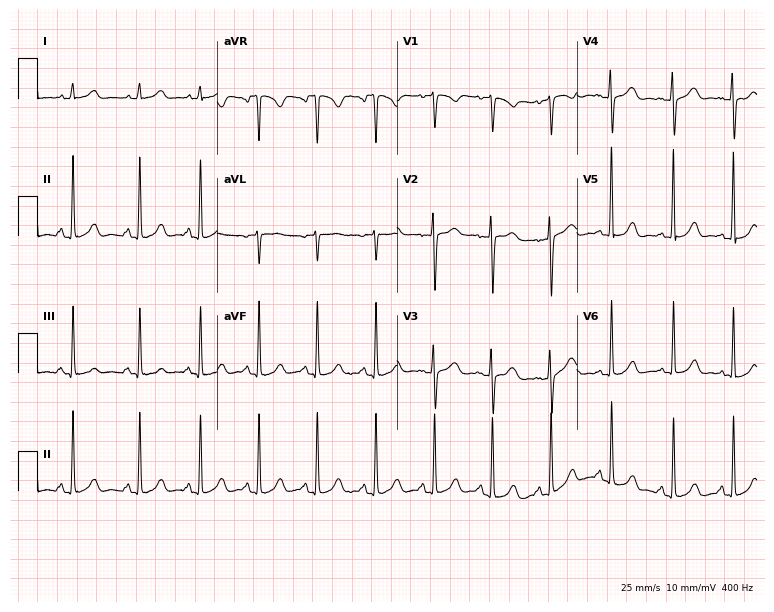
Resting 12-lead electrocardiogram. Patient: a 28-year-old female. Read as a normal ECG.